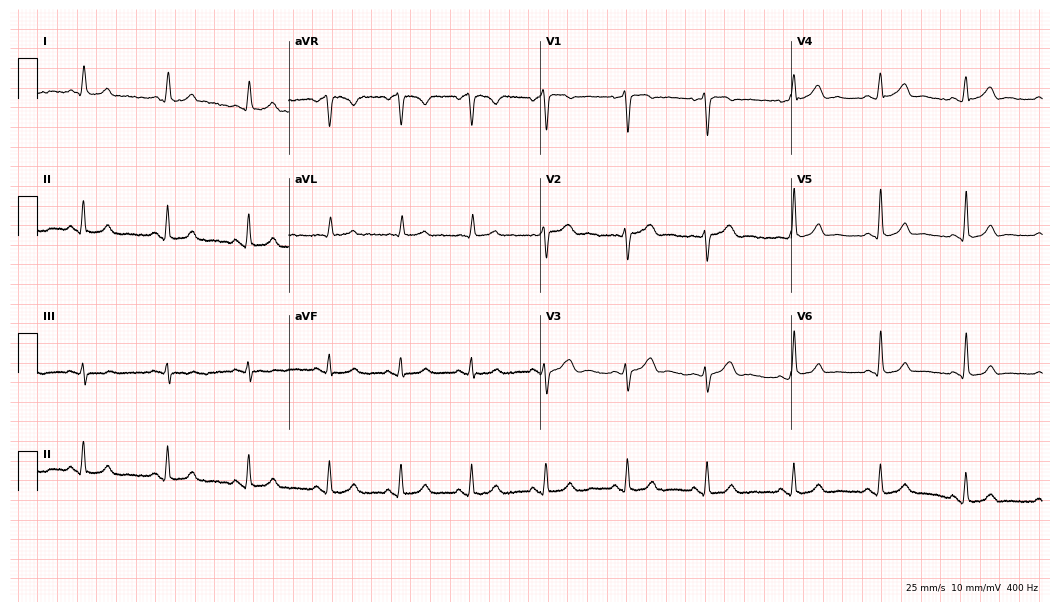
Standard 12-lead ECG recorded from a woman, 39 years old. Read as a normal ECG.